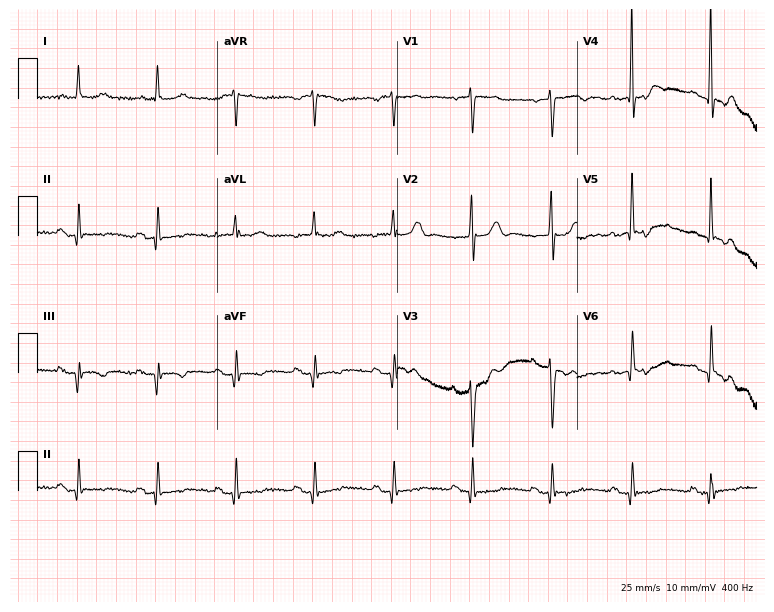
Resting 12-lead electrocardiogram. Patient: an 80-year-old female. None of these six findings is recorded: first-degree AV block, right bundle branch block, left bundle branch block, sinus bradycardia, atrial fibrillation, sinus tachycardia.